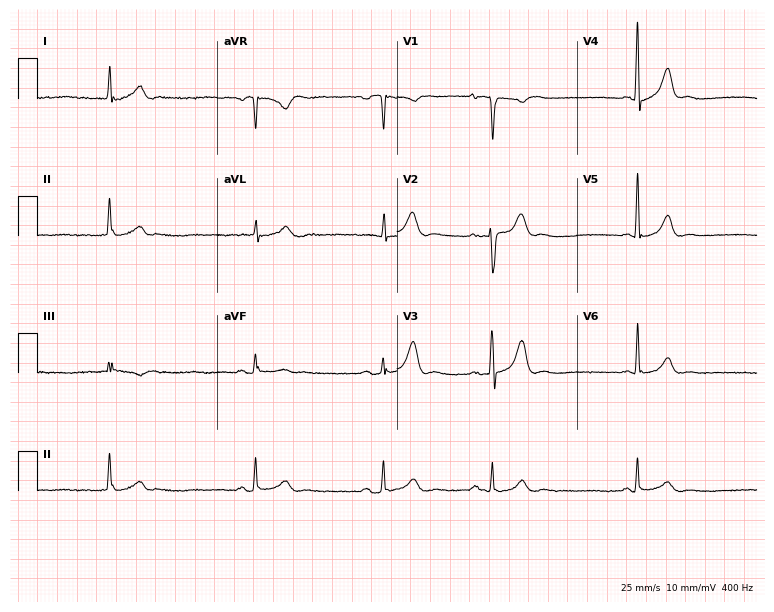
12-lead ECG from a man, 40 years old. Shows sinus bradycardia (a sinus rate of 50 beats per minute or less).